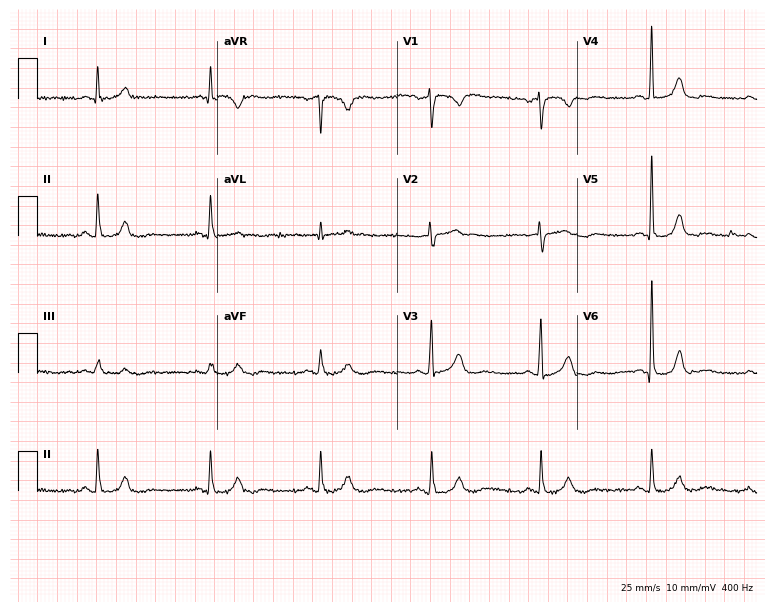
12-lead ECG (7.3-second recording at 400 Hz) from a 66-year-old male patient. Labelled as a normal ECG.